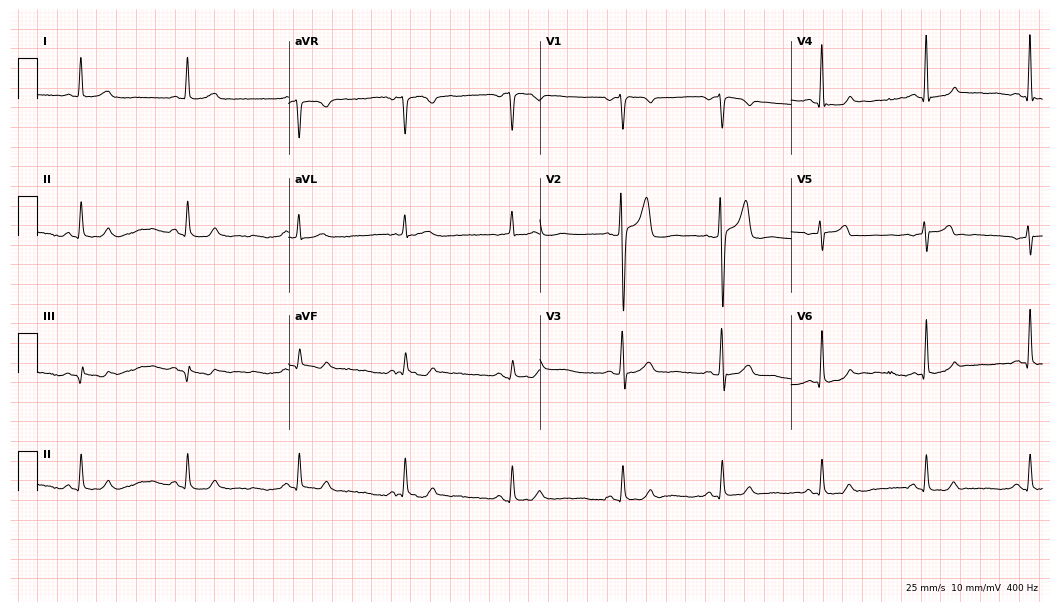
ECG — a 42-year-old man. Screened for six findings — first-degree AV block, right bundle branch block, left bundle branch block, sinus bradycardia, atrial fibrillation, sinus tachycardia — none is recorded. Other findings, if any, are not listed.